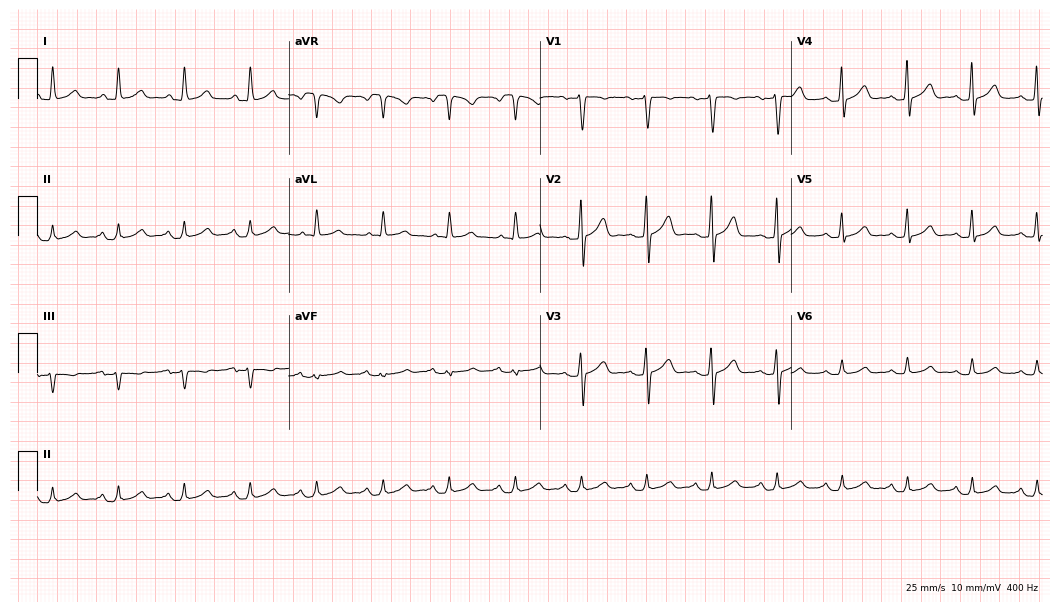
Resting 12-lead electrocardiogram (10.2-second recording at 400 Hz). Patient: a 67-year-old female. None of these six findings is recorded: first-degree AV block, right bundle branch block (RBBB), left bundle branch block (LBBB), sinus bradycardia, atrial fibrillation (AF), sinus tachycardia. Other findings, if any, are not listed.